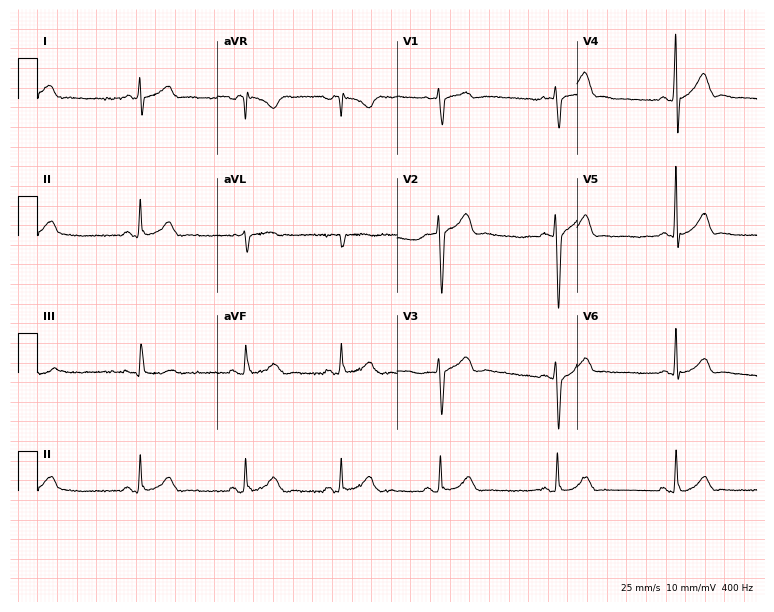
ECG — a 23-year-old male. Labelled as a normal ECG.